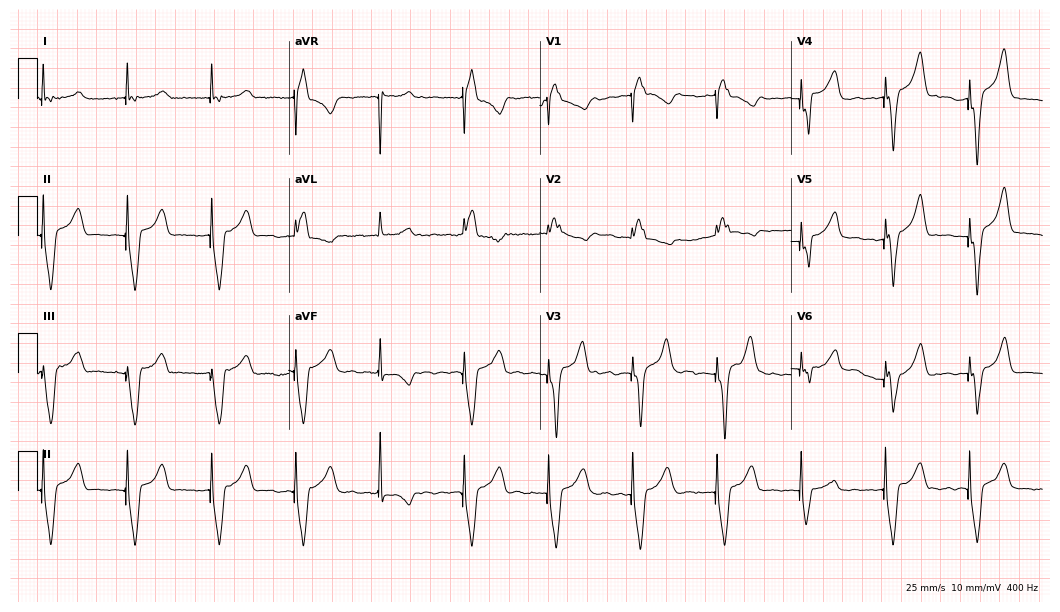
Resting 12-lead electrocardiogram (10.2-second recording at 400 Hz). Patient: a male, 88 years old. None of these six findings is recorded: first-degree AV block, right bundle branch block, left bundle branch block, sinus bradycardia, atrial fibrillation, sinus tachycardia.